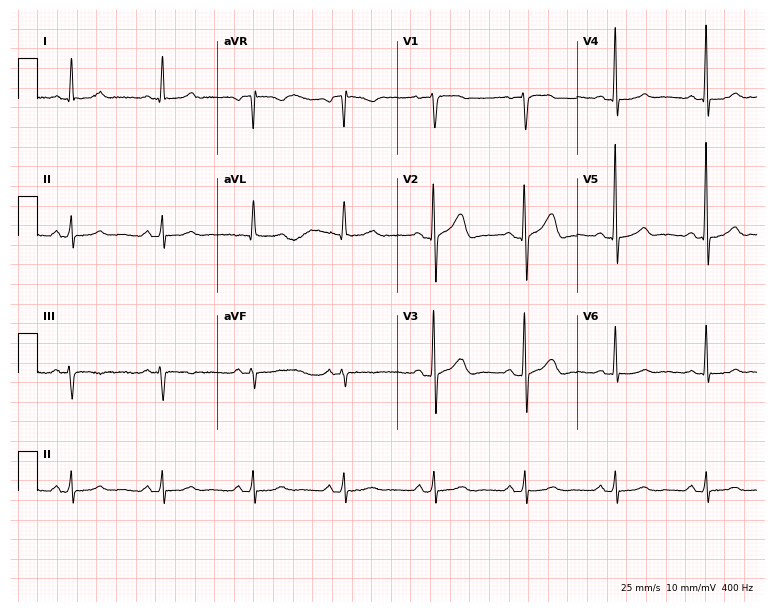
Standard 12-lead ECG recorded from a 77-year-old man (7.3-second recording at 400 Hz). Read as a normal ECG.